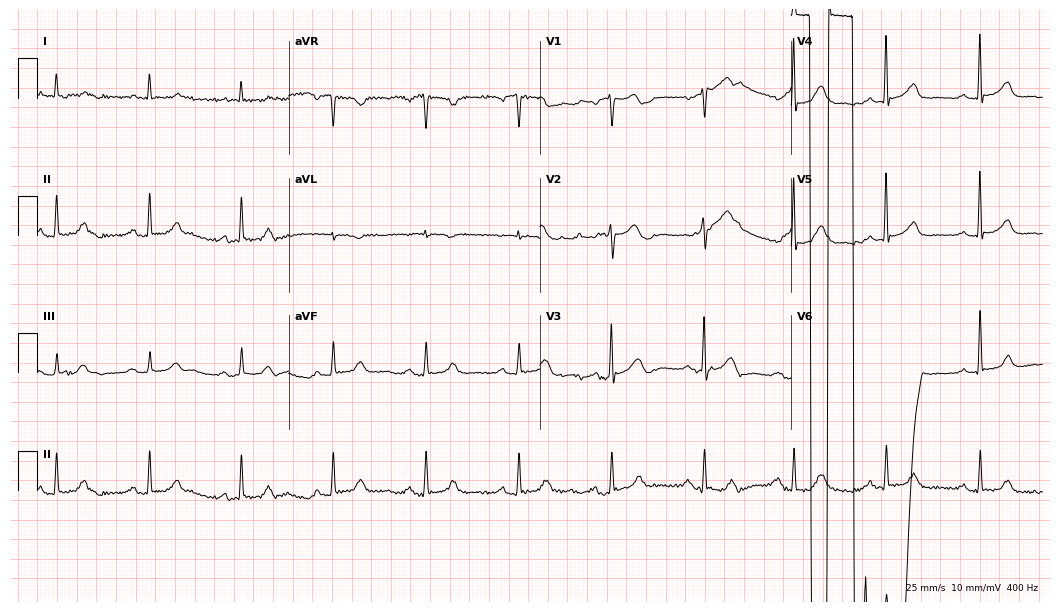
ECG — a 67-year-old woman. Screened for six findings — first-degree AV block, right bundle branch block (RBBB), left bundle branch block (LBBB), sinus bradycardia, atrial fibrillation (AF), sinus tachycardia — none is recorded.